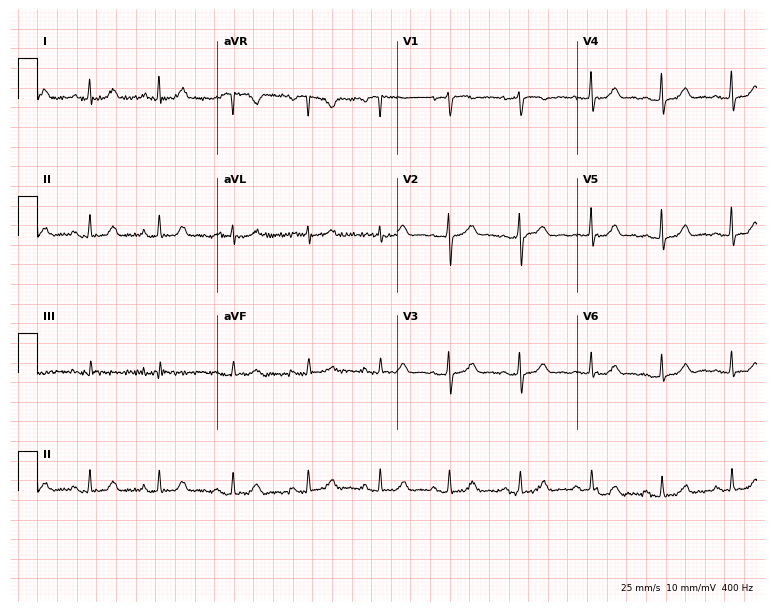
ECG — a 51-year-old woman. Labelled as a normal ECG.